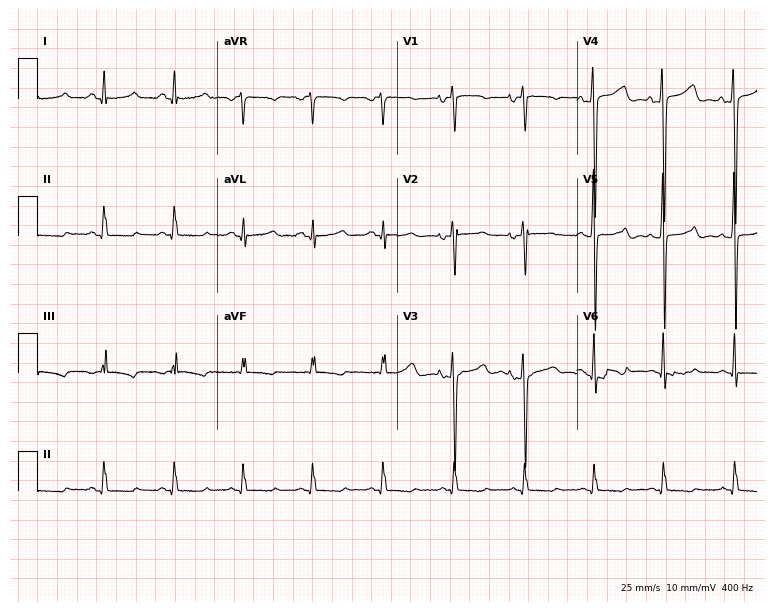
Standard 12-lead ECG recorded from a 48-year-old female (7.3-second recording at 400 Hz). None of these six findings is recorded: first-degree AV block, right bundle branch block (RBBB), left bundle branch block (LBBB), sinus bradycardia, atrial fibrillation (AF), sinus tachycardia. Findings outside these six are not listed.